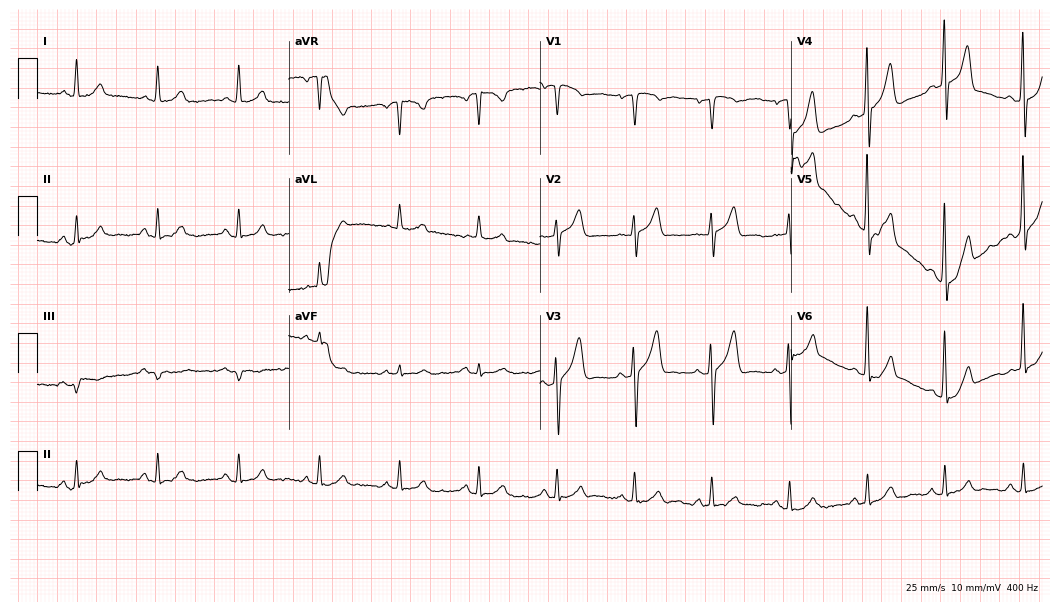
Standard 12-lead ECG recorded from a 65-year-old man. Read as a normal ECG.